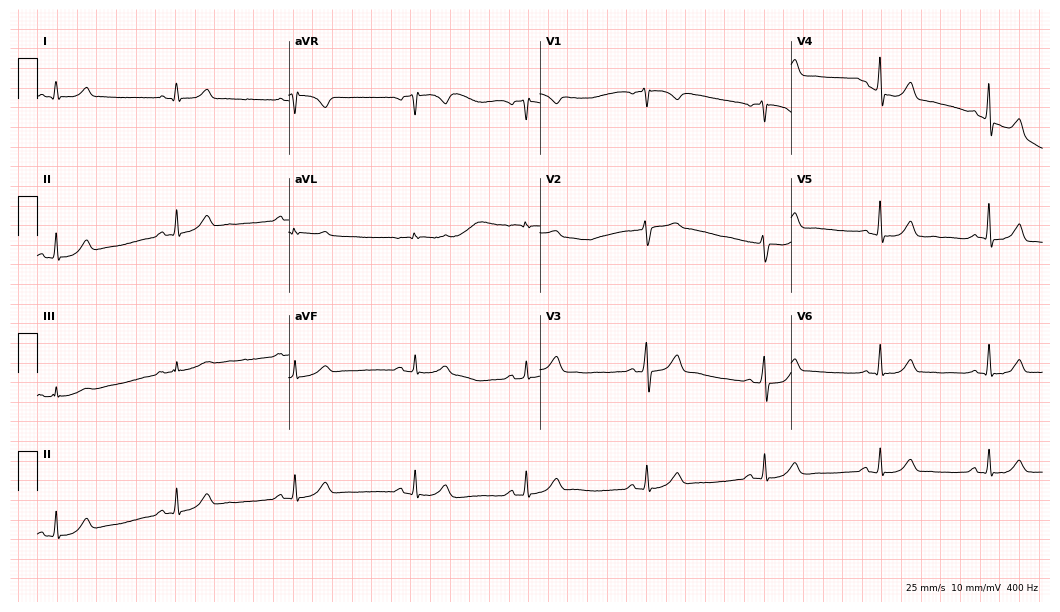
Resting 12-lead electrocardiogram. Patient: a 54-year-old woman. Read as a normal ECG.